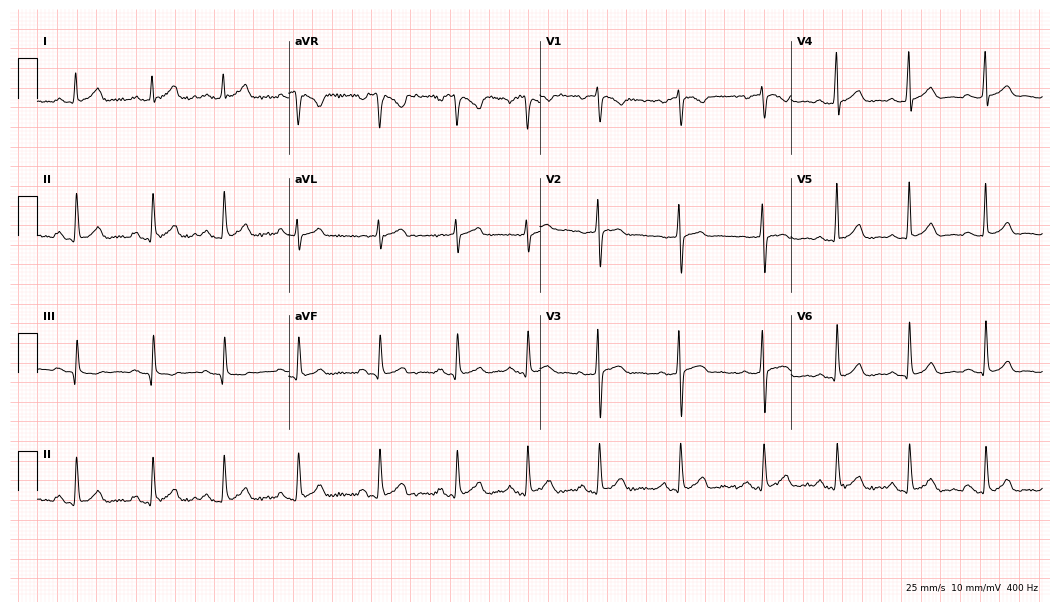
Electrocardiogram (10.2-second recording at 400 Hz), a 28-year-old female. Overall reading on record: normal ECG.